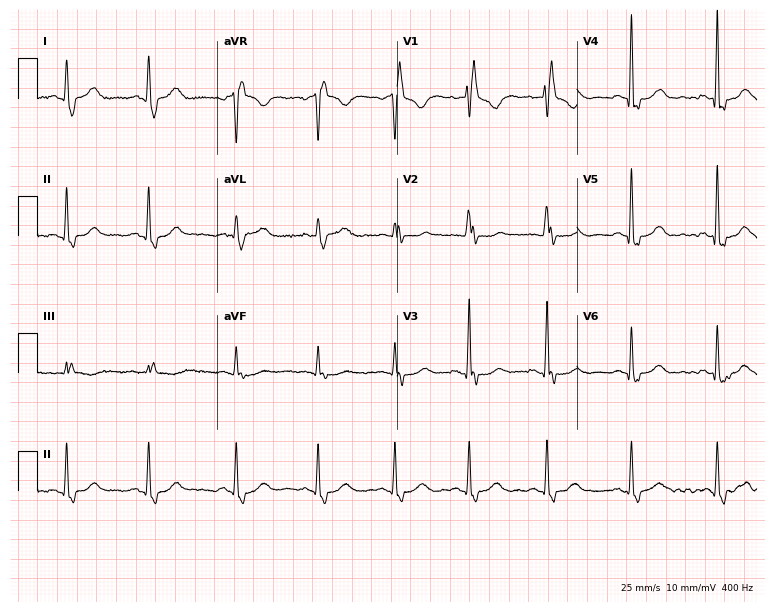
12-lead ECG from a female, 61 years old. Findings include right bundle branch block.